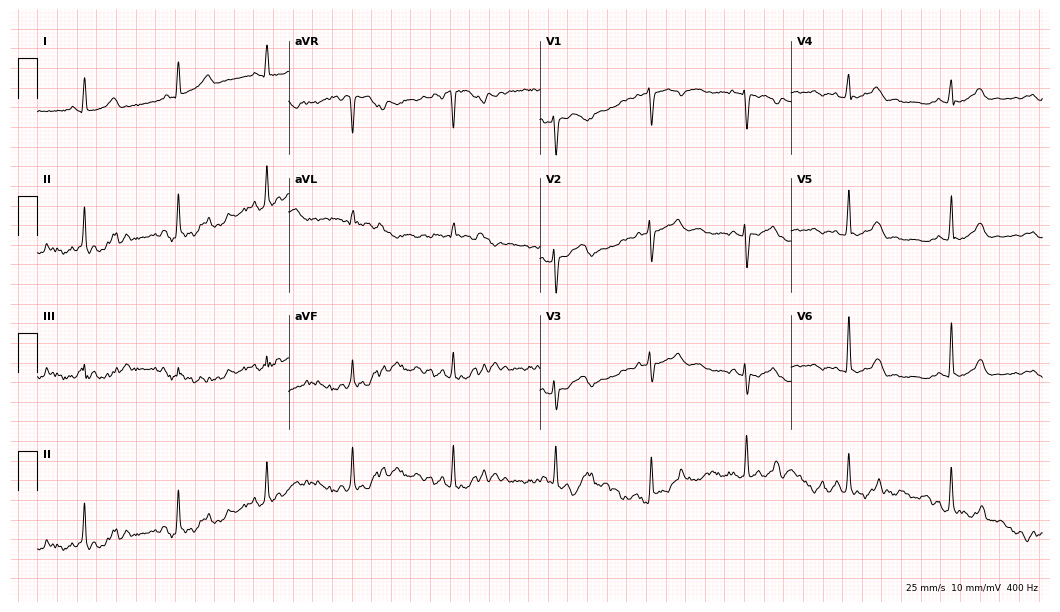
Electrocardiogram, a 28-year-old female patient. Overall reading on record: normal ECG.